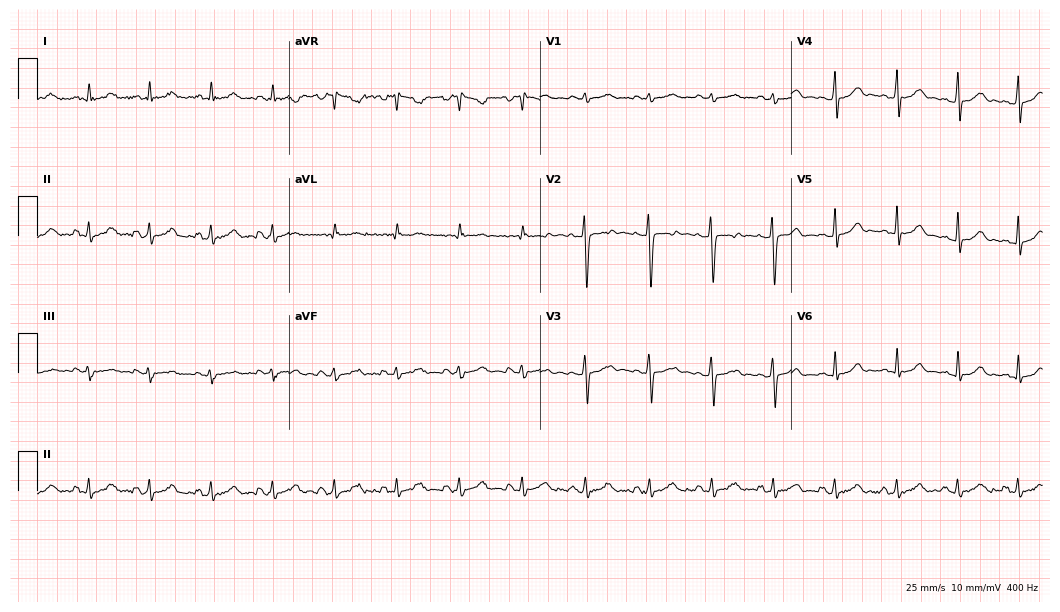
12-lead ECG (10.2-second recording at 400 Hz) from a female, 17 years old. Labelled as a normal ECG.